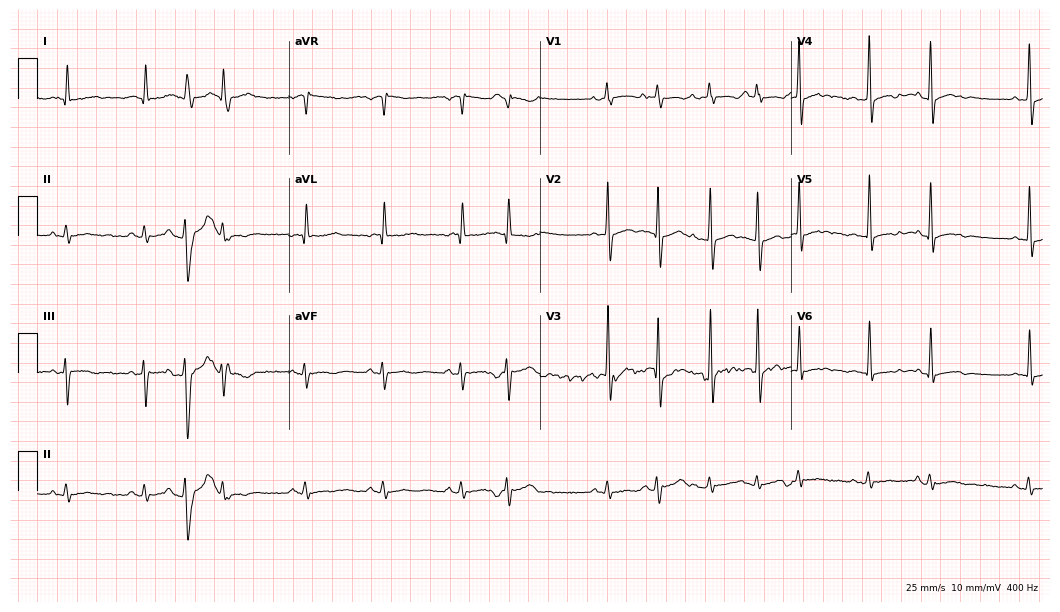
Standard 12-lead ECG recorded from an 82-year-old male patient. None of these six findings is recorded: first-degree AV block, right bundle branch block, left bundle branch block, sinus bradycardia, atrial fibrillation, sinus tachycardia.